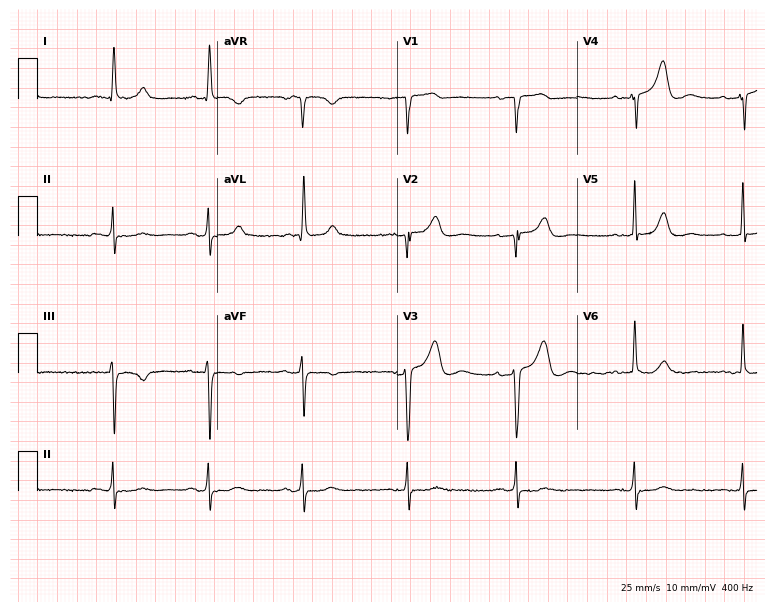
Resting 12-lead electrocardiogram. Patient: an 83-year-old female. Read as a normal ECG.